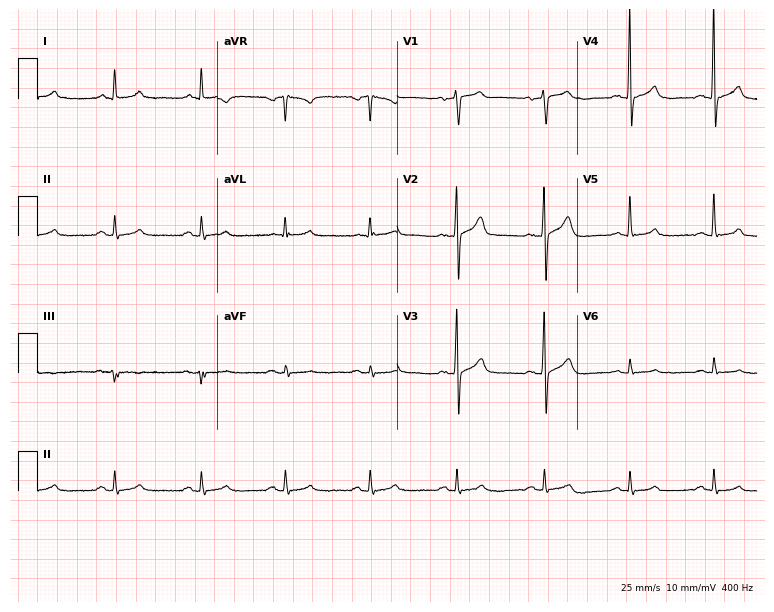
Electrocardiogram (7.3-second recording at 400 Hz), a 71-year-old man. Overall reading on record: normal ECG.